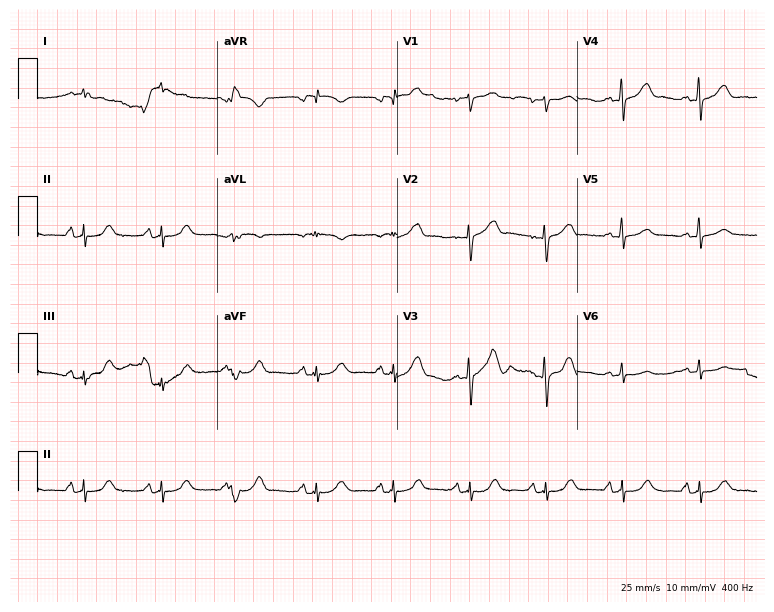
12-lead ECG from a 76-year-old male patient. Screened for six findings — first-degree AV block, right bundle branch block, left bundle branch block, sinus bradycardia, atrial fibrillation, sinus tachycardia — none is recorded. Other findings, if any, are not listed.